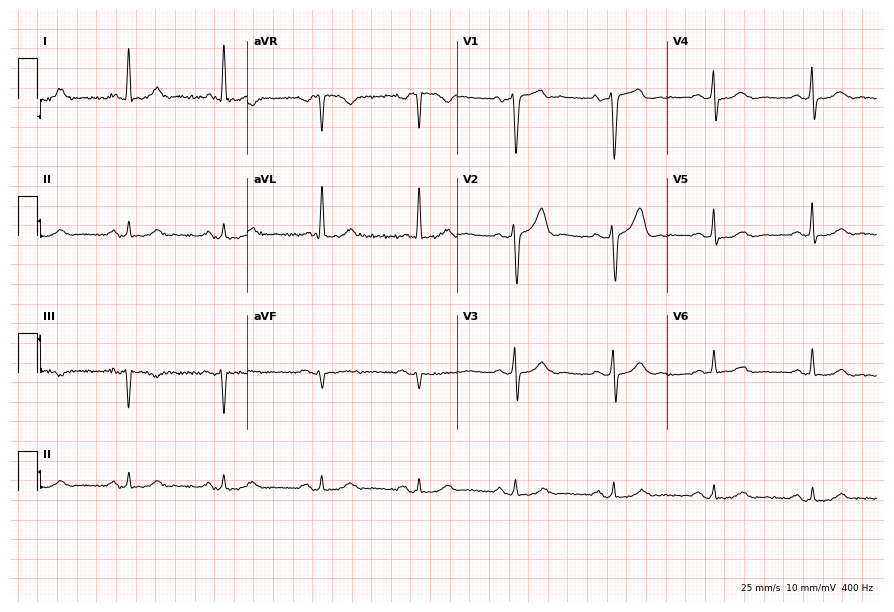
12-lead ECG (8.6-second recording at 400 Hz) from a male patient, 62 years old. Screened for six findings — first-degree AV block, right bundle branch block, left bundle branch block, sinus bradycardia, atrial fibrillation, sinus tachycardia — none is recorded. Findings outside these six are not listed.